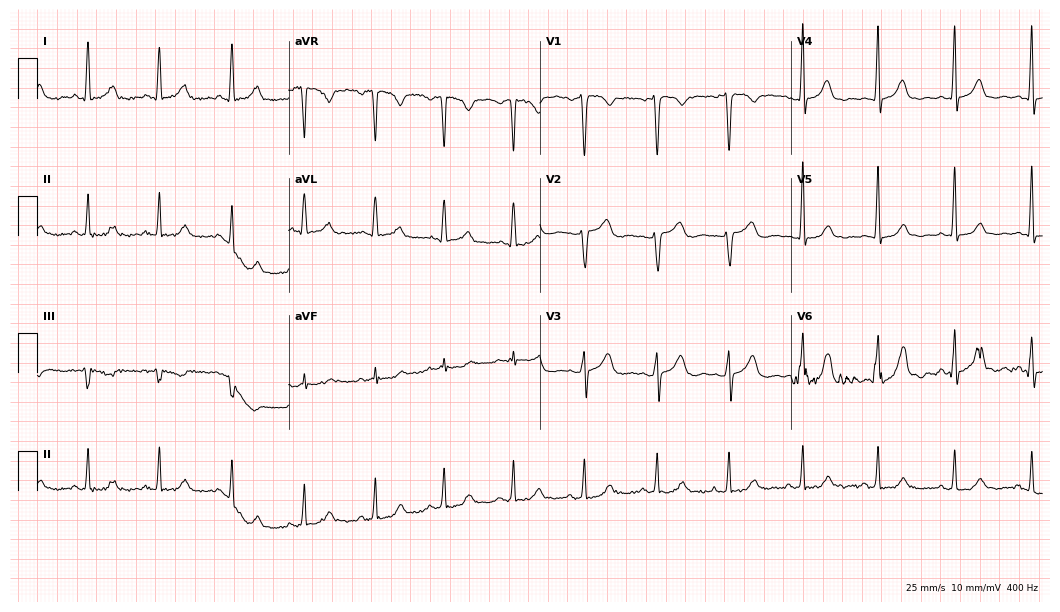
Electrocardiogram (10.2-second recording at 400 Hz), a 46-year-old woman. Overall reading on record: normal ECG.